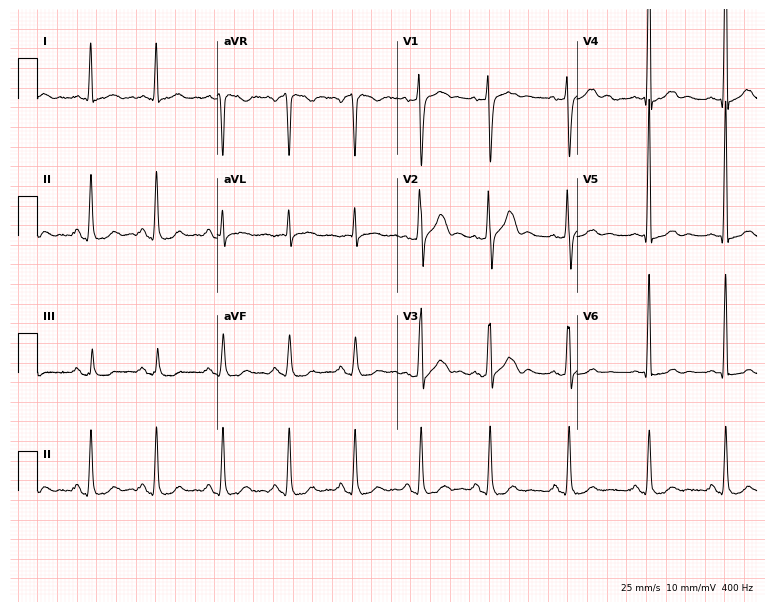
Electrocardiogram, a 48-year-old male. Of the six screened findings (first-degree AV block, right bundle branch block (RBBB), left bundle branch block (LBBB), sinus bradycardia, atrial fibrillation (AF), sinus tachycardia), none is recorded. Other findings, if any, are not listed.